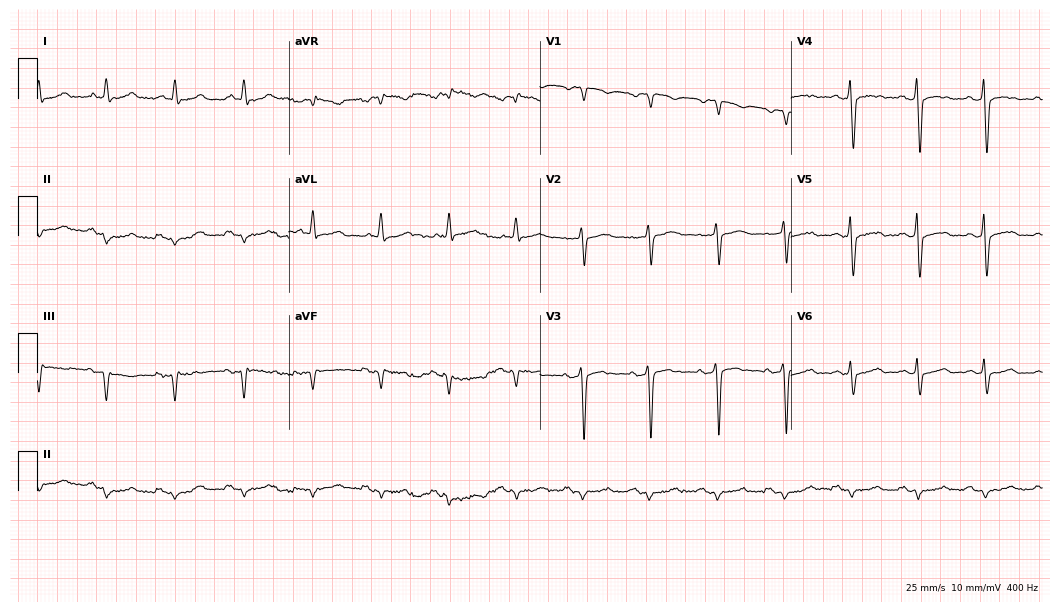
Standard 12-lead ECG recorded from an 81-year-old man (10.2-second recording at 400 Hz). None of these six findings is recorded: first-degree AV block, right bundle branch block, left bundle branch block, sinus bradycardia, atrial fibrillation, sinus tachycardia. Findings outside these six are not listed.